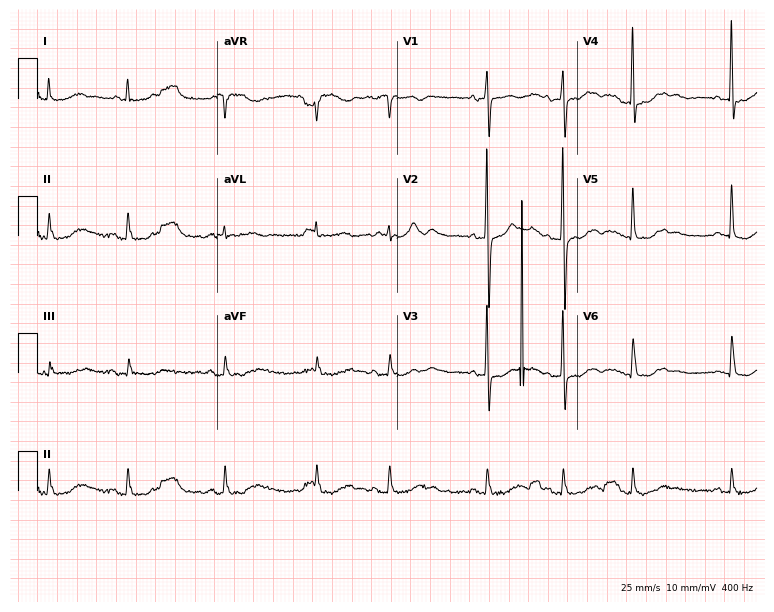
12-lead ECG (7.3-second recording at 400 Hz) from an 83-year-old woman. Screened for six findings — first-degree AV block, right bundle branch block, left bundle branch block, sinus bradycardia, atrial fibrillation, sinus tachycardia — none is recorded. Findings outside these six are not listed.